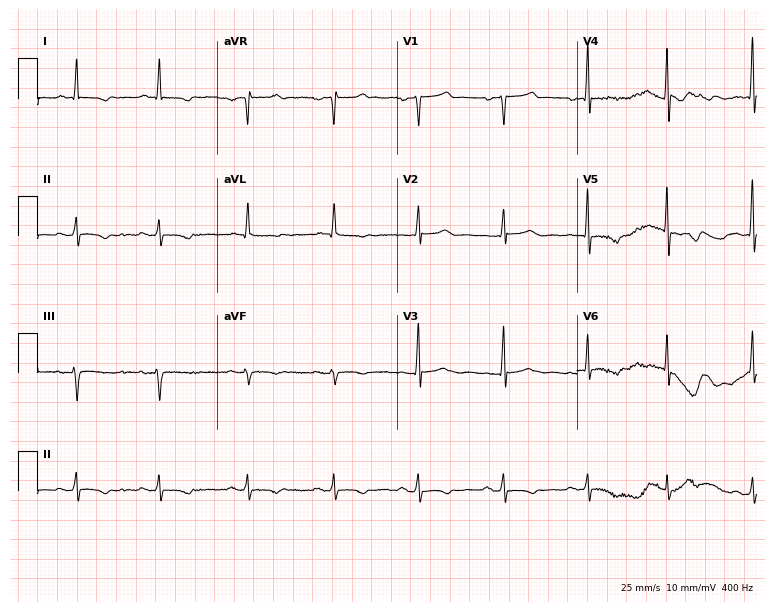
Standard 12-lead ECG recorded from a 70-year-old female patient. None of these six findings is recorded: first-degree AV block, right bundle branch block, left bundle branch block, sinus bradycardia, atrial fibrillation, sinus tachycardia. Other findings, if any, are not listed.